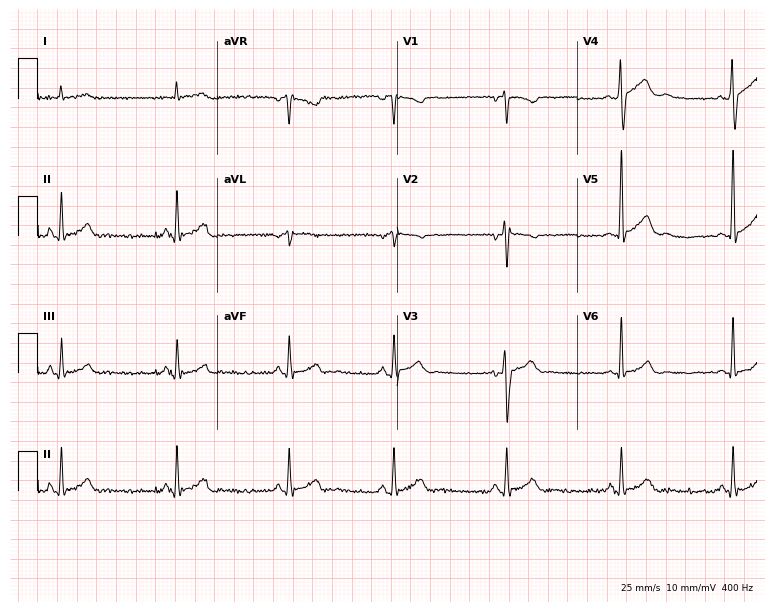
12-lead ECG from a male, 32 years old (7.3-second recording at 400 Hz). No first-degree AV block, right bundle branch block (RBBB), left bundle branch block (LBBB), sinus bradycardia, atrial fibrillation (AF) or sinus tachycardia recorded for this tracing.